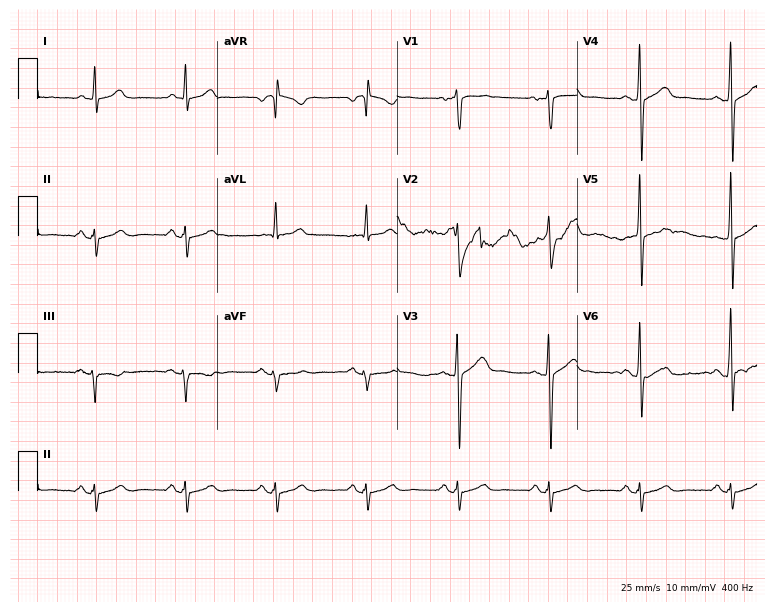
Standard 12-lead ECG recorded from a male, 64 years old (7.3-second recording at 400 Hz). None of these six findings is recorded: first-degree AV block, right bundle branch block, left bundle branch block, sinus bradycardia, atrial fibrillation, sinus tachycardia. Other findings, if any, are not listed.